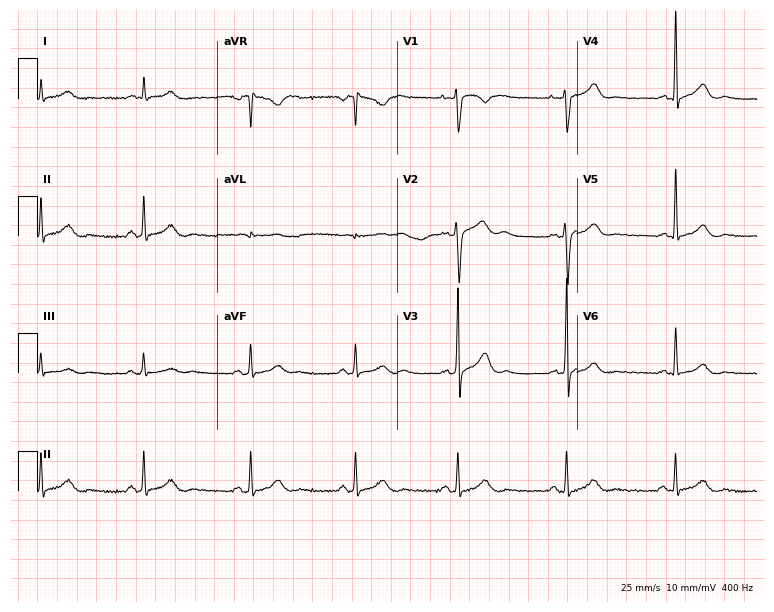
12-lead ECG from a male patient, 40 years old (7.3-second recording at 400 Hz). No first-degree AV block, right bundle branch block (RBBB), left bundle branch block (LBBB), sinus bradycardia, atrial fibrillation (AF) or sinus tachycardia recorded for this tracing. Findings outside these six are not listed.